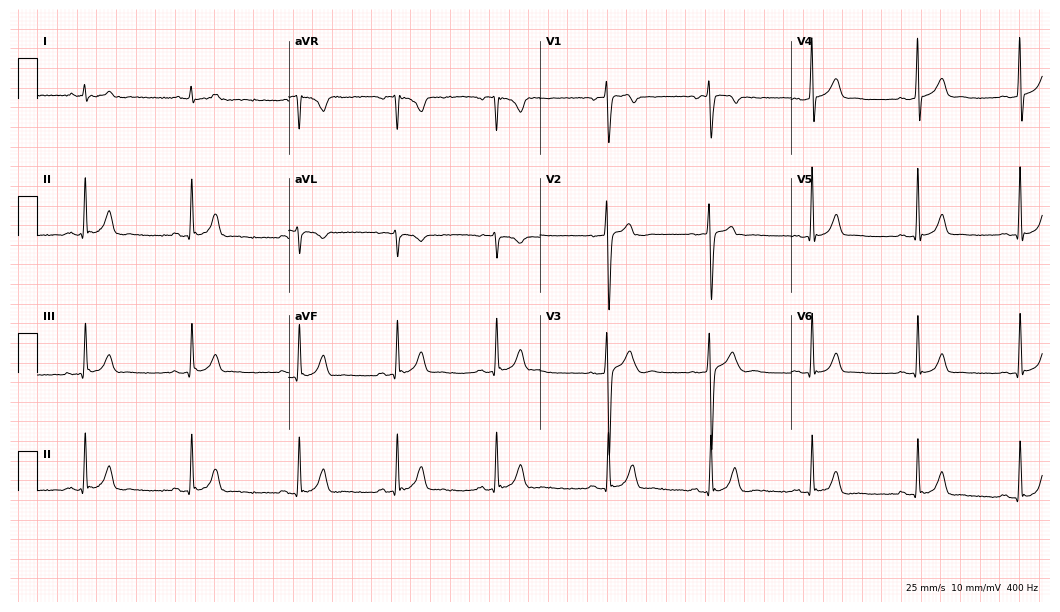
12-lead ECG from a man, 25 years old (10.2-second recording at 400 Hz). Recorded interpretation: within normal limits.